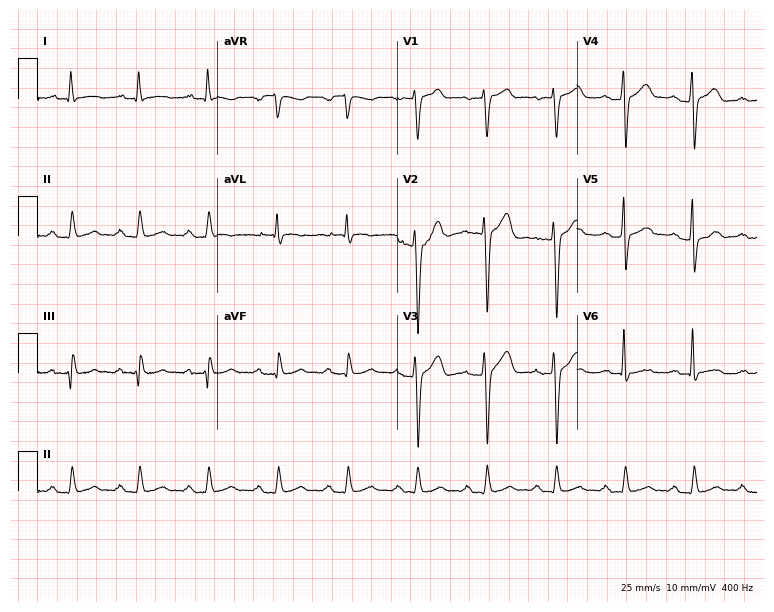
Electrocardiogram (7.3-second recording at 400 Hz), a 45-year-old male. Overall reading on record: normal ECG.